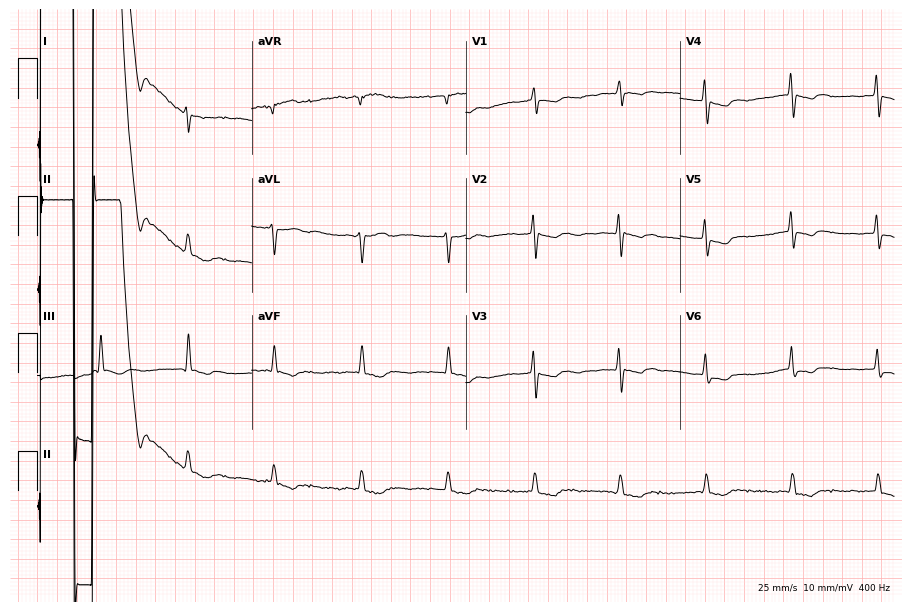
12-lead ECG from an 84-year-old female (8.7-second recording at 400 Hz). No first-degree AV block, right bundle branch block (RBBB), left bundle branch block (LBBB), sinus bradycardia, atrial fibrillation (AF) or sinus tachycardia recorded for this tracing. Only these six findings were labelled.